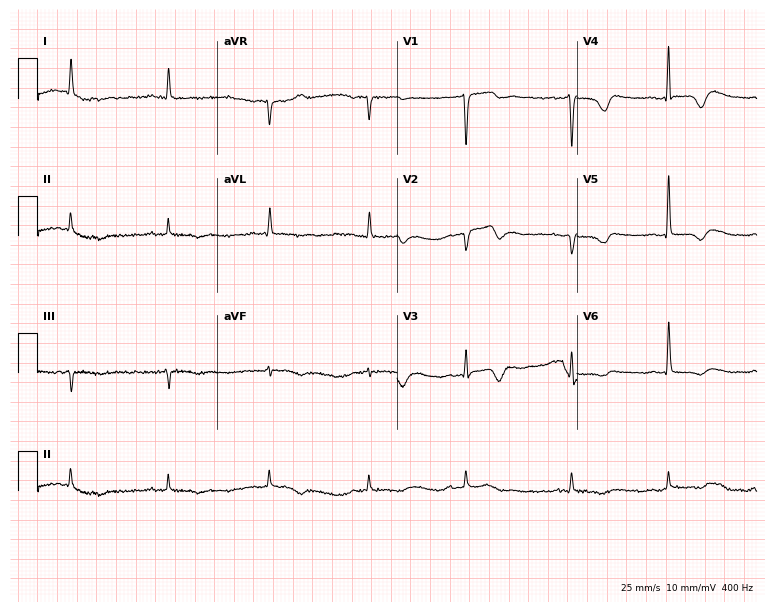
12-lead ECG (7.3-second recording at 400 Hz) from a 71-year-old female. Screened for six findings — first-degree AV block, right bundle branch block, left bundle branch block, sinus bradycardia, atrial fibrillation, sinus tachycardia — none is recorded.